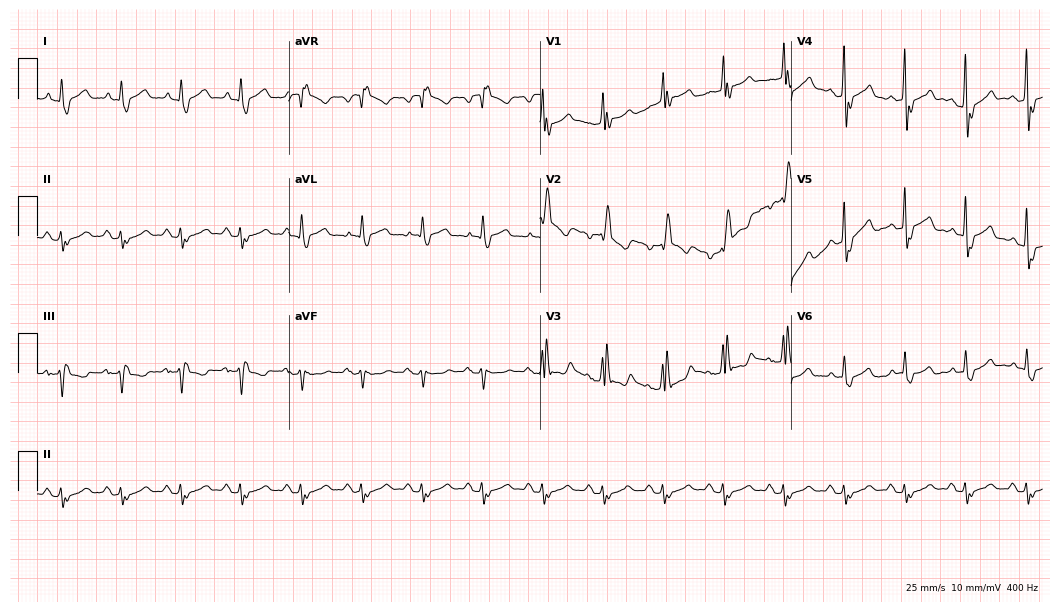
Standard 12-lead ECG recorded from a 72-year-old male patient. None of these six findings is recorded: first-degree AV block, right bundle branch block, left bundle branch block, sinus bradycardia, atrial fibrillation, sinus tachycardia.